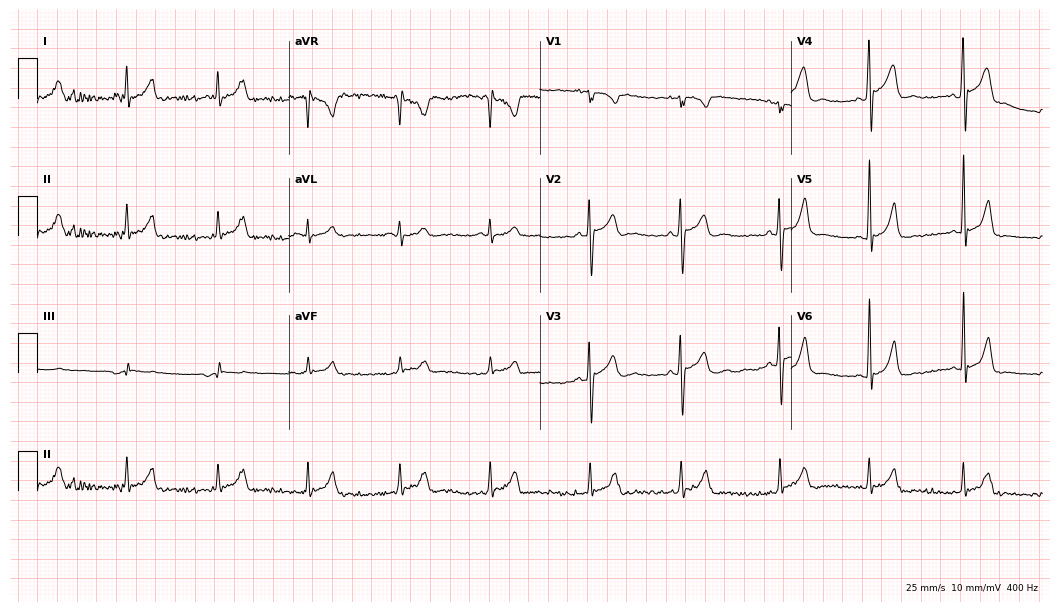
ECG — an 18-year-old male. Labelled as a normal ECG.